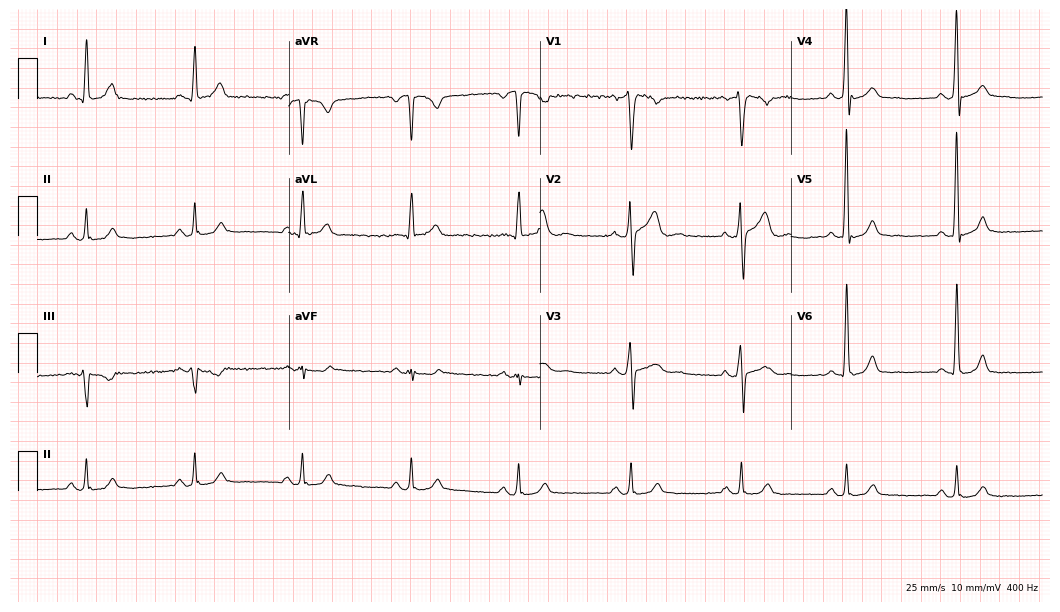
Resting 12-lead electrocardiogram. Patient: a 50-year-old male. Read as a normal ECG.